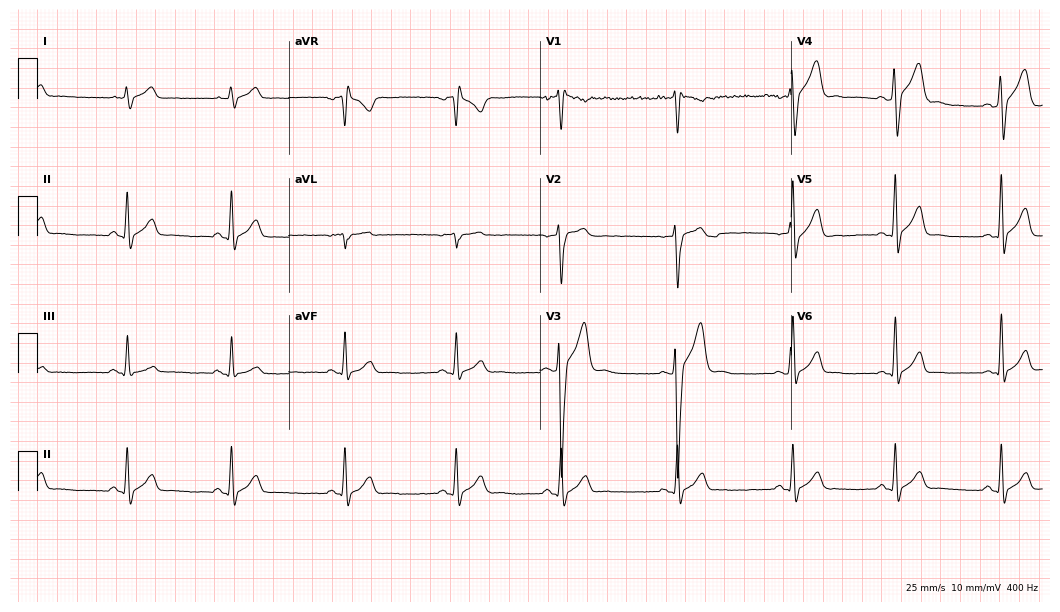
Resting 12-lead electrocardiogram (10.2-second recording at 400 Hz). Patient: a 20-year-old male. None of these six findings is recorded: first-degree AV block, right bundle branch block, left bundle branch block, sinus bradycardia, atrial fibrillation, sinus tachycardia.